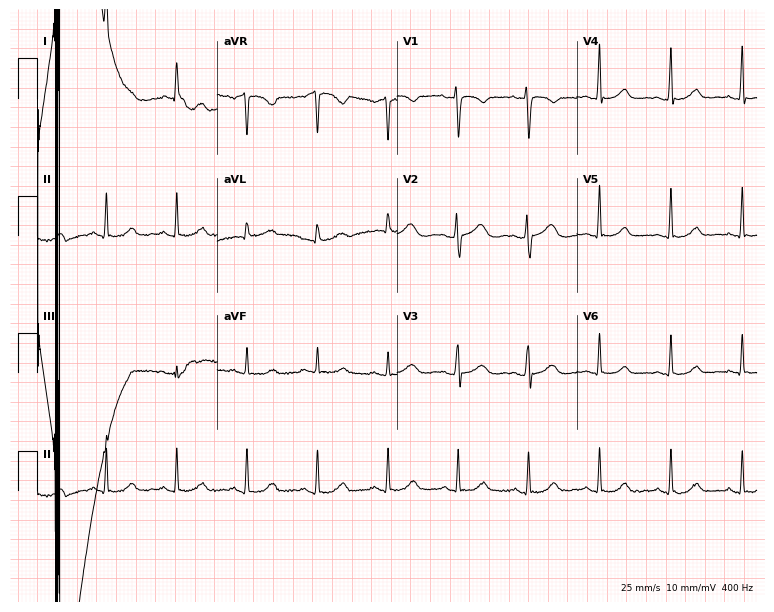
Standard 12-lead ECG recorded from a 36-year-old female. None of these six findings is recorded: first-degree AV block, right bundle branch block, left bundle branch block, sinus bradycardia, atrial fibrillation, sinus tachycardia.